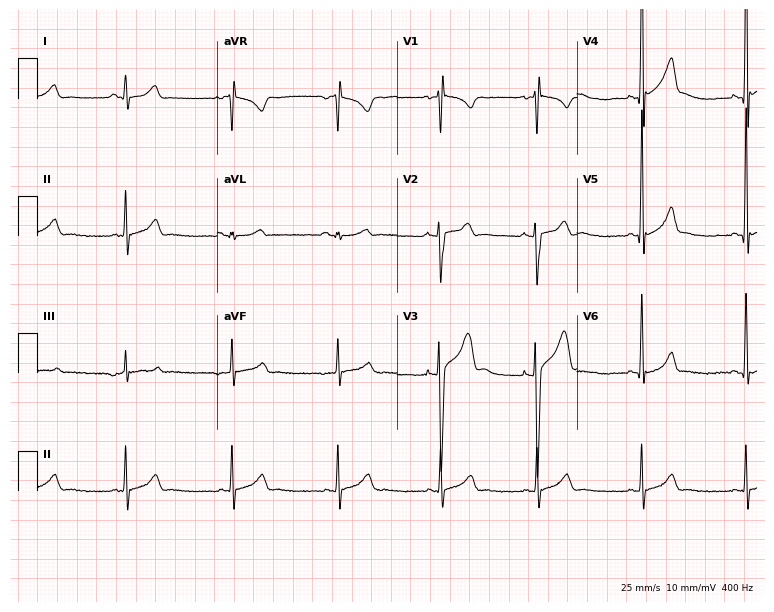
Resting 12-lead electrocardiogram (7.3-second recording at 400 Hz). Patient: a man, 18 years old. None of these six findings is recorded: first-degree AV block, right bundle branch block, left bundle branch block, sinus bradycardia, atrial fibrillation, sinus tachycardia.